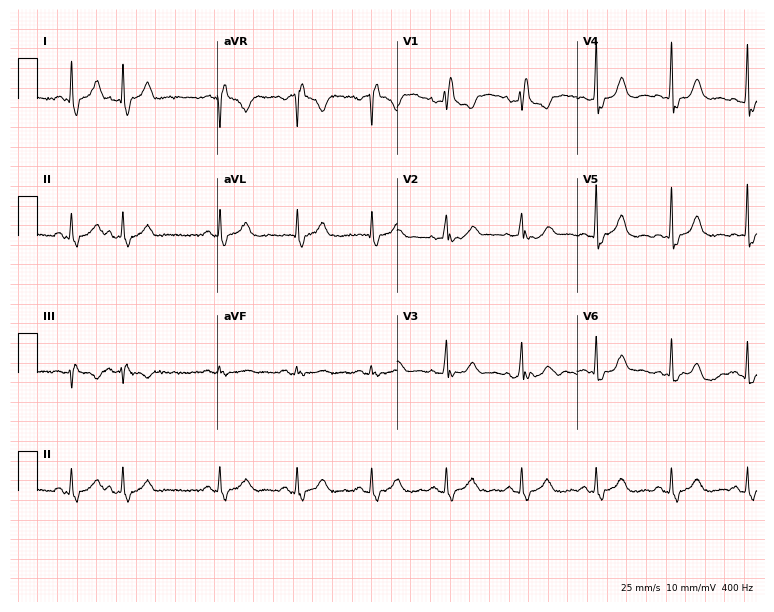
Electrocardiogram, a 52-year-old woman. Interpretation includes right bundle branch block (RBBB).